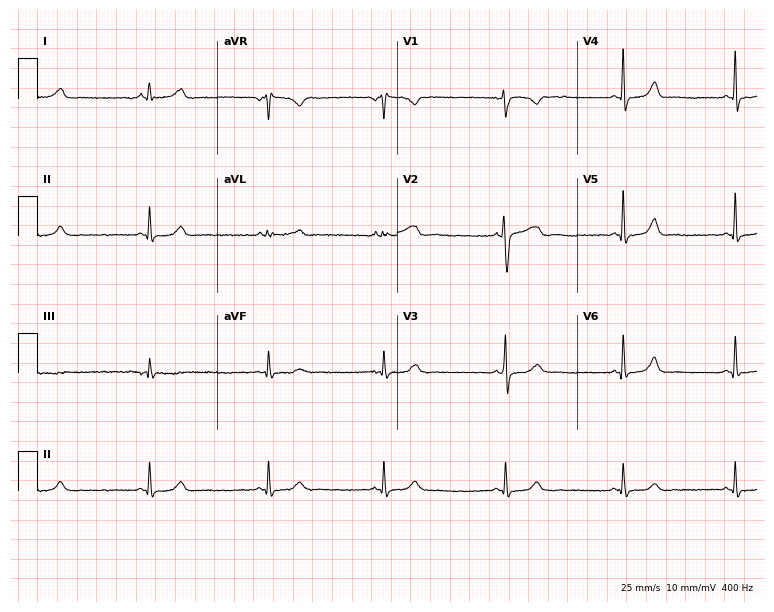
12-lead ECG from a 32-year-old woman. Findings include sinus bradycardia (a sinus rate of 50 beats per minute or less).